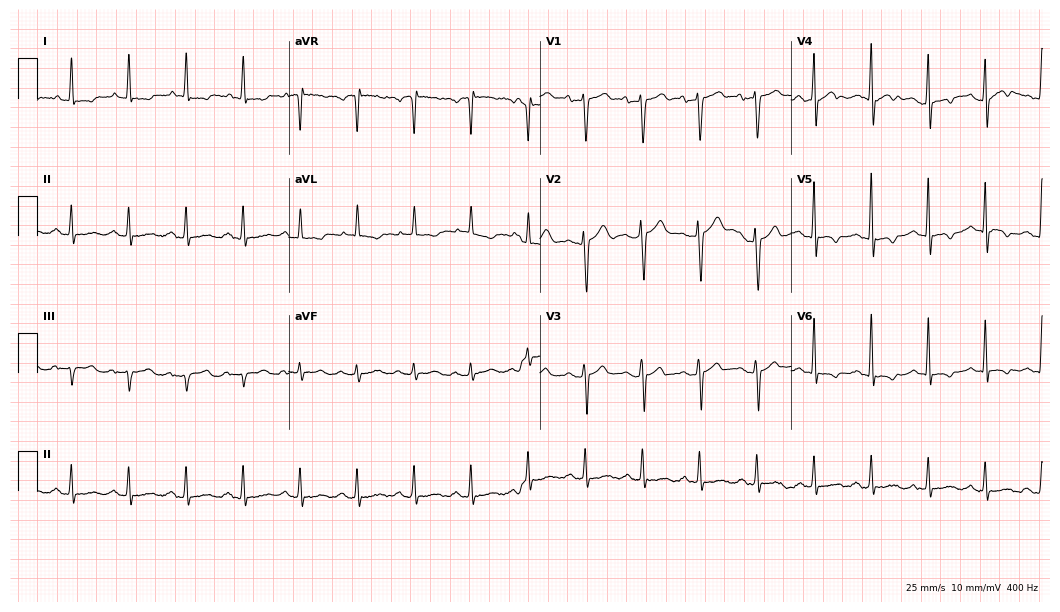
12-lead ECG (10.2-second recording at 400 Hz) from a 70-year-old male patient. Findings include sinus tachycardia (a sinus rate of 100 beats per minute or more).